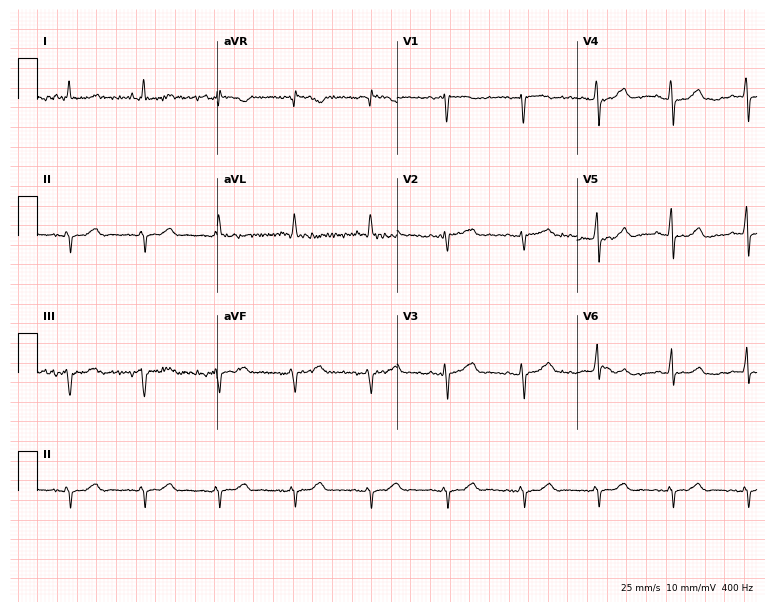
Standard 12-lead ECG recorded from a man, 85 years old. None of these six findings is recorded: first-degree AV block, right bundle branch block, left bundle branch block, sinus bradycardia, atrial fibrillation, sinus tachycardia. Only these six findings were labelled.